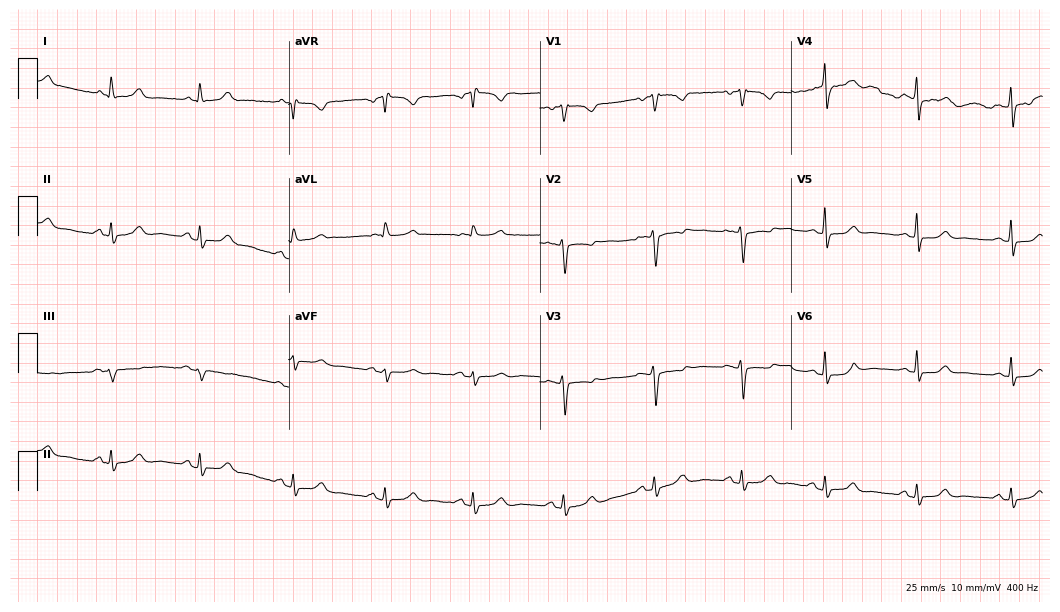
12-lead ECG (10.2-second recording at 400 Hz) from a 38-year-old woman. Screened for six findings — first-degree AV block, right bundle branch block, left bundle branch block, sinus bradycardia, atrial fibrillation, sinus tachycardia — none is recorded. Other findings, if any, are not listed.